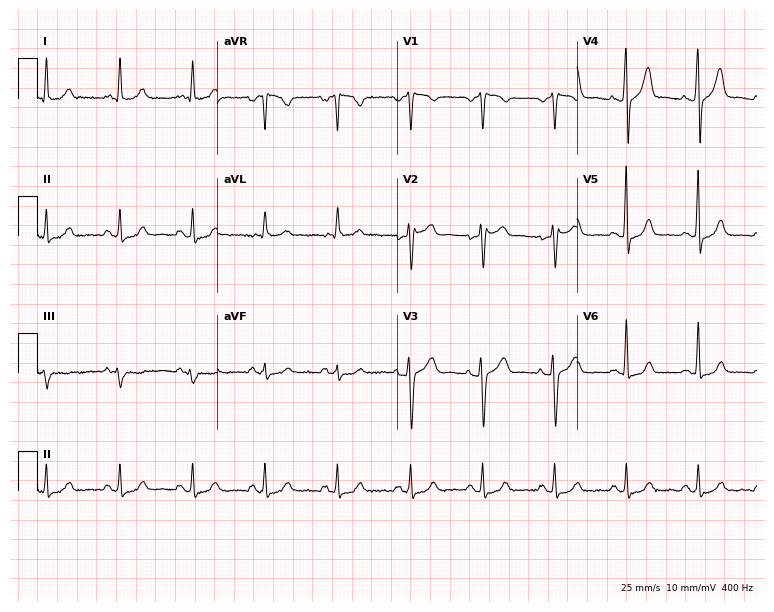
12-lead ECG from a male patient, 62 years old. Labelled as a normal ECG.